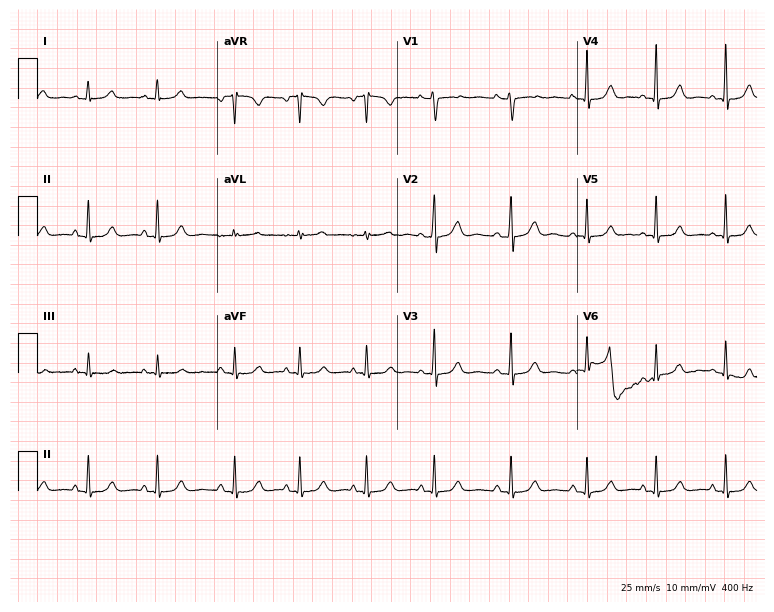
Resting 12-lead electrocardiogram (7.3-second recording at 400 Hz). Patient: a female, 35 years old. Read as a normal ECG.